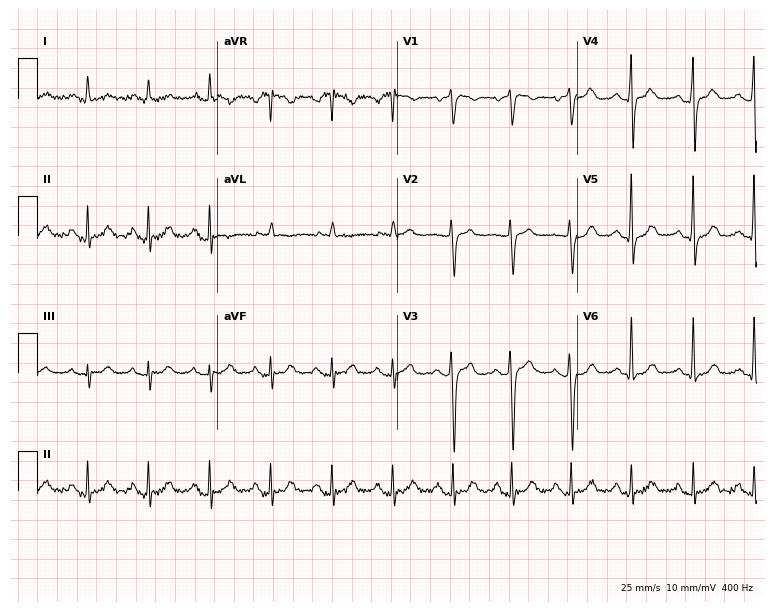
Standard 12-lead ECG recorded from a 59-year-old female patient. Read as a normal ECG.